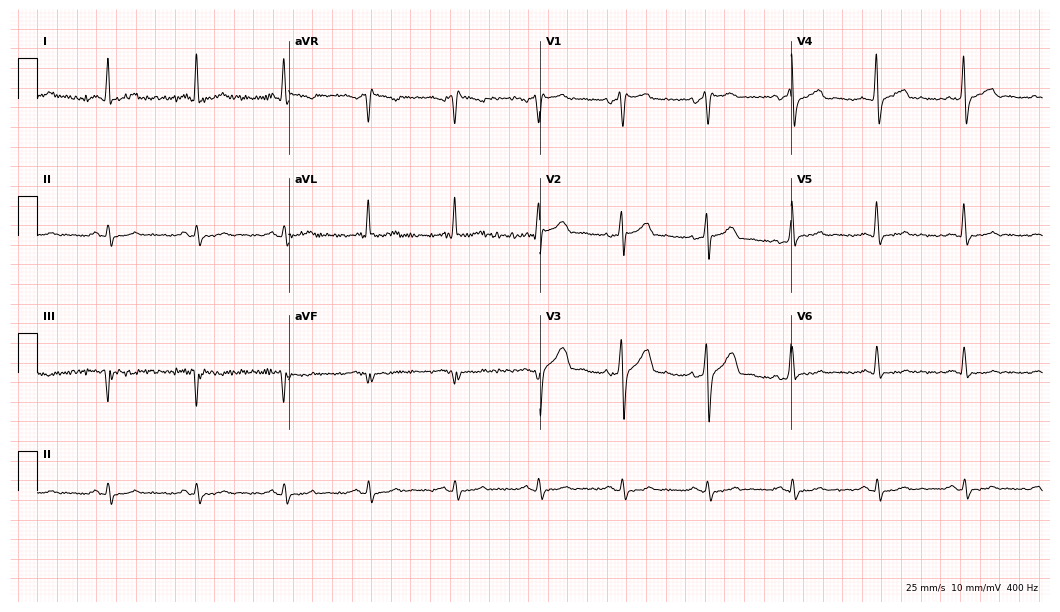
Electrocardiogram, a man, 50 years old. Of the six screened findings (first-degree AV block, right bundle branch block, left bundle branch block, sinus bradycardia, atrial fibrillation, sinus tachycardia), none is recorded.